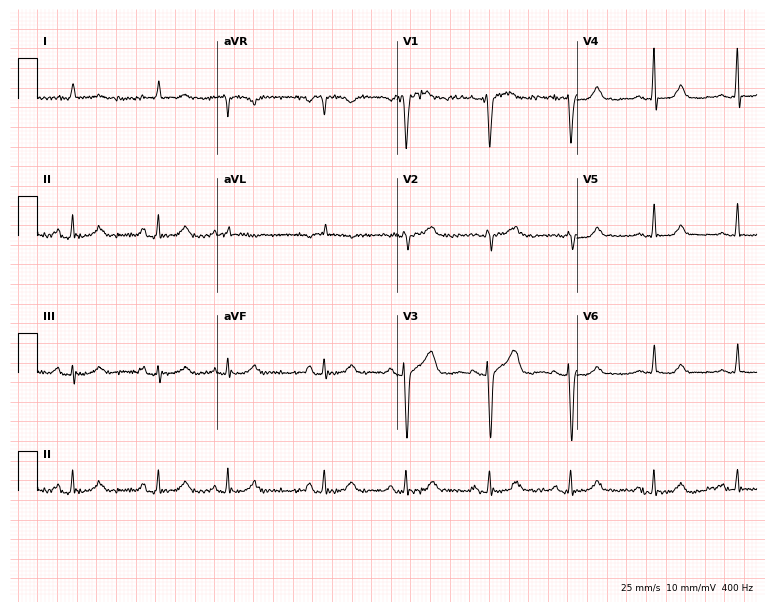
Electrocardiogram (7.3-second recording at 400 Hz), a female patient, 79 years old. Of the six screened findings (first-degree AV block, right bundle branch block, left bundle branch block, sinus bradycardia, atrial fibrillation, sinus tachycardia), none is recorded. Other findings, if any, are not listed.